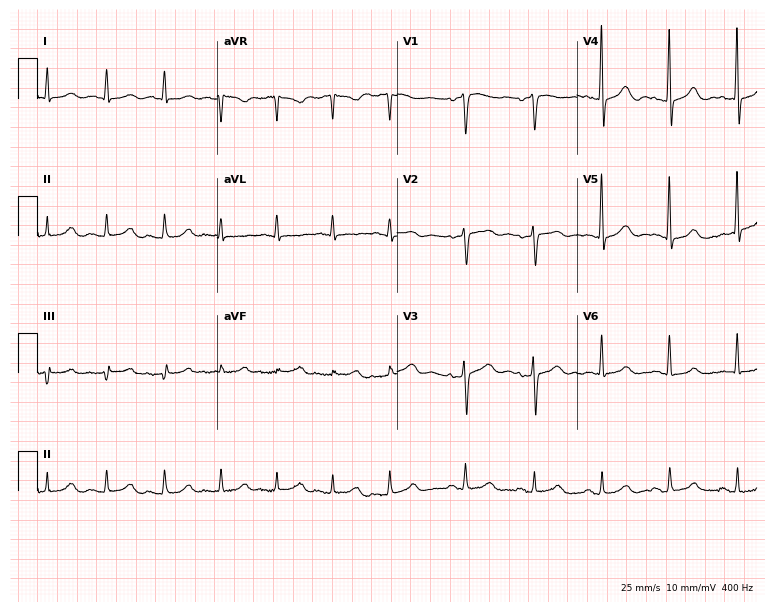
Standard 12-lead ECG recorded from an 81-year-old female patient. None of these six findings is recorded: first-degree AV block, right bundle branch block, left bundle branch block, sinus bradycardia, atrial fibrillation, sinus tachycardia. Findings outside these six are not listed.